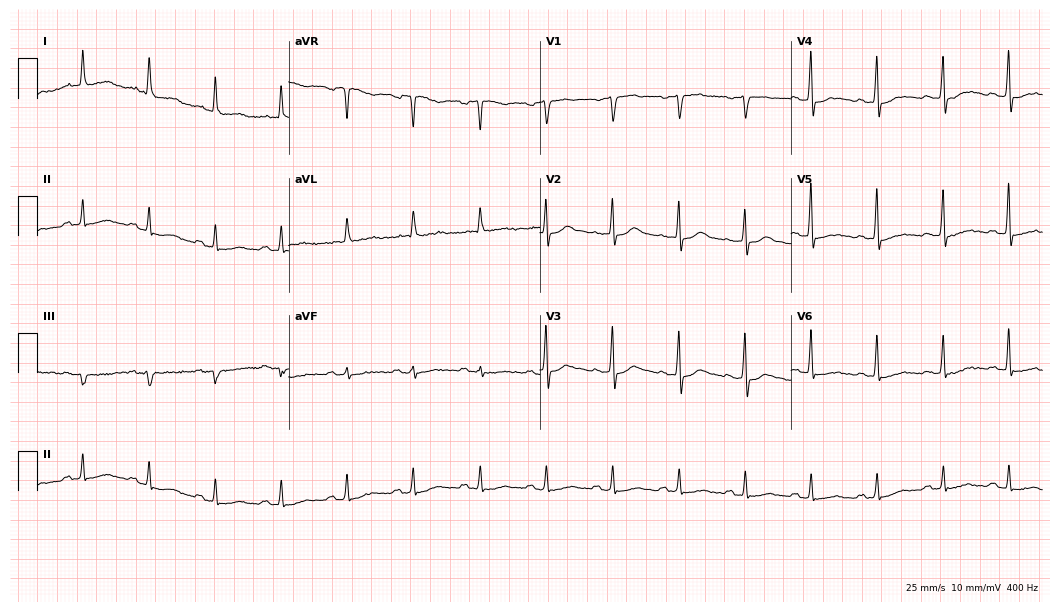
12-lead ECG from a 69-year-old man. No first-degree AV block, right bundle branch block (RBBB), left bundle branch block (LBBB), sinus bradycardia, atrial fibrillation (AF) or sinus tachycardia recorded for this tracing.